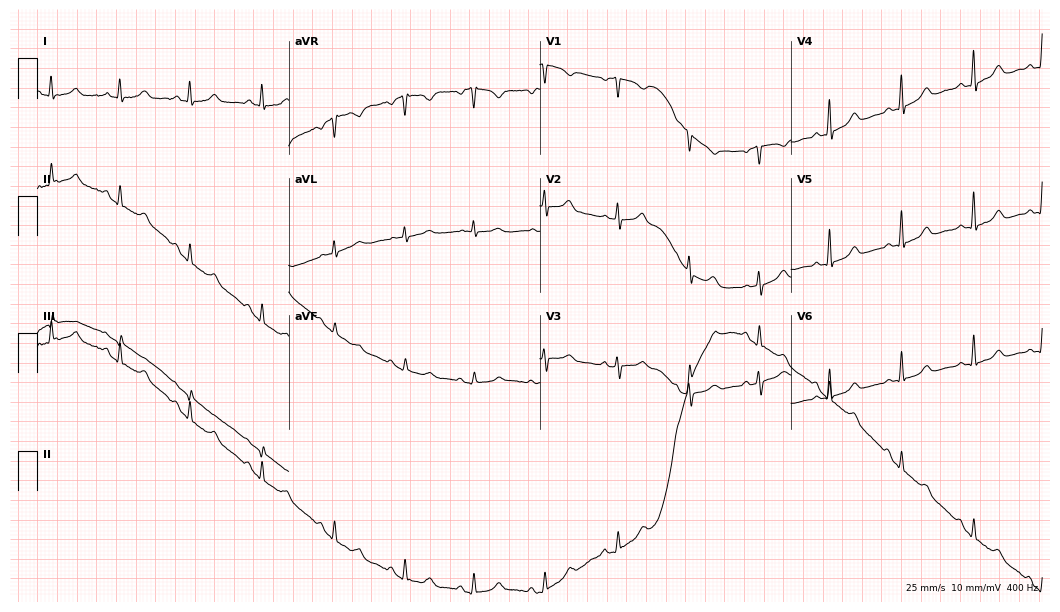
Resting 12-lead electrocardiogram. Patient: a female, 51 years old. None of these six findings is recorded: first-degree AV block, right bundle branch block, left bundle branch block, sinus bradycardia, atrial fibrillation, sinus tachycardia. Findings outside these six are not listed.